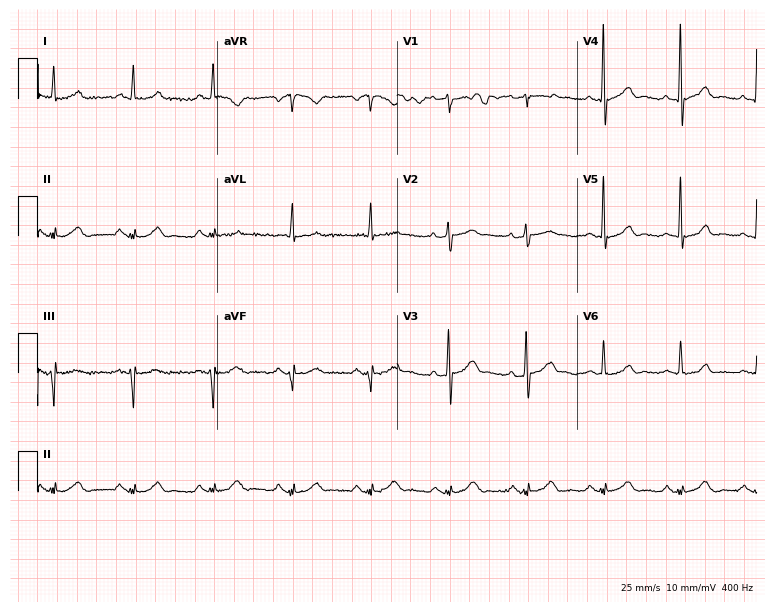
ECG (7.3-second recording at 400 Hz) — a man, 59 years old. Screened for six findings — first-degree AV block, right bundle branch block (RBBB), left bundle branch block (LBBB), sinus bradycardia, atrial fibrillation (AF), sinus tachycardia — none is recorded.